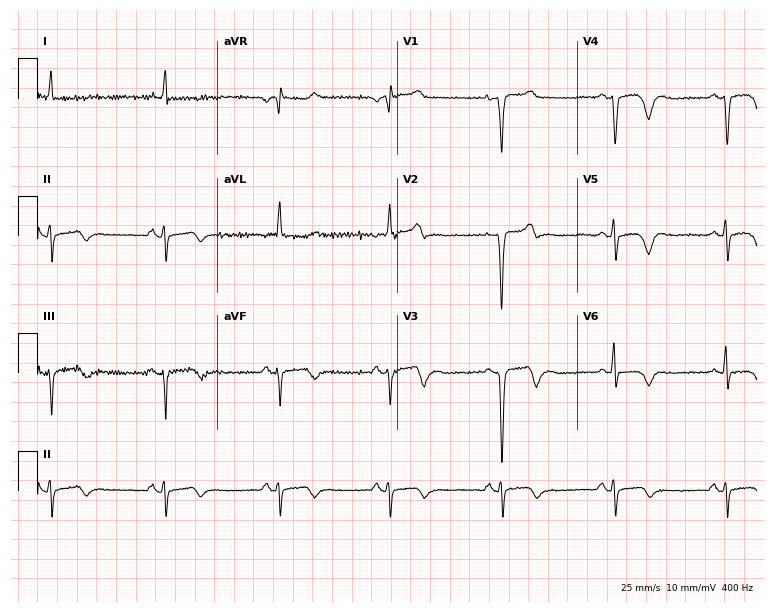
Resting 12-lead electrocardiogram. Patient: a woman, 74 years old. Read as a normal ECG.